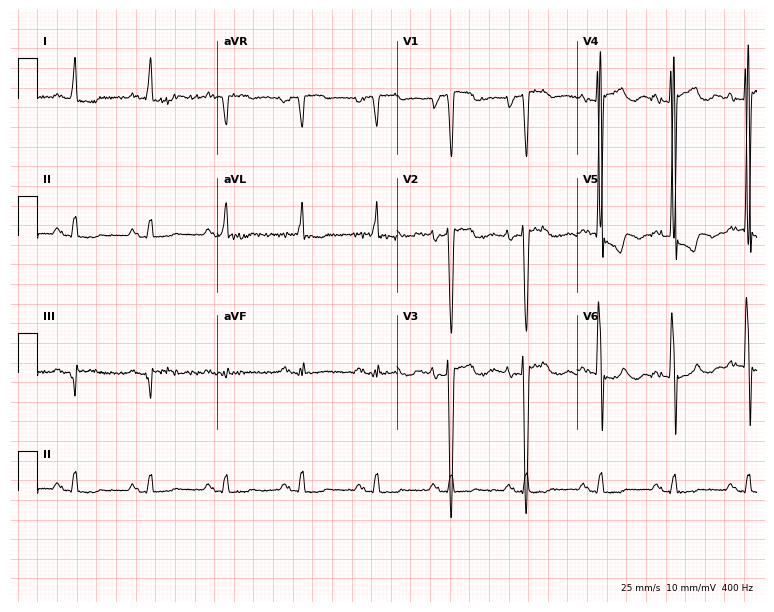
Standard 12-lead ECG recorded from a 66-year-old man (7.3-second recording at 400 Hz). None of these six findings is recorded: first-degree AV block, right bundle branch block, left bundle branch block, sinus bradycardia, atrial fibrillation, sinus tachycardia.